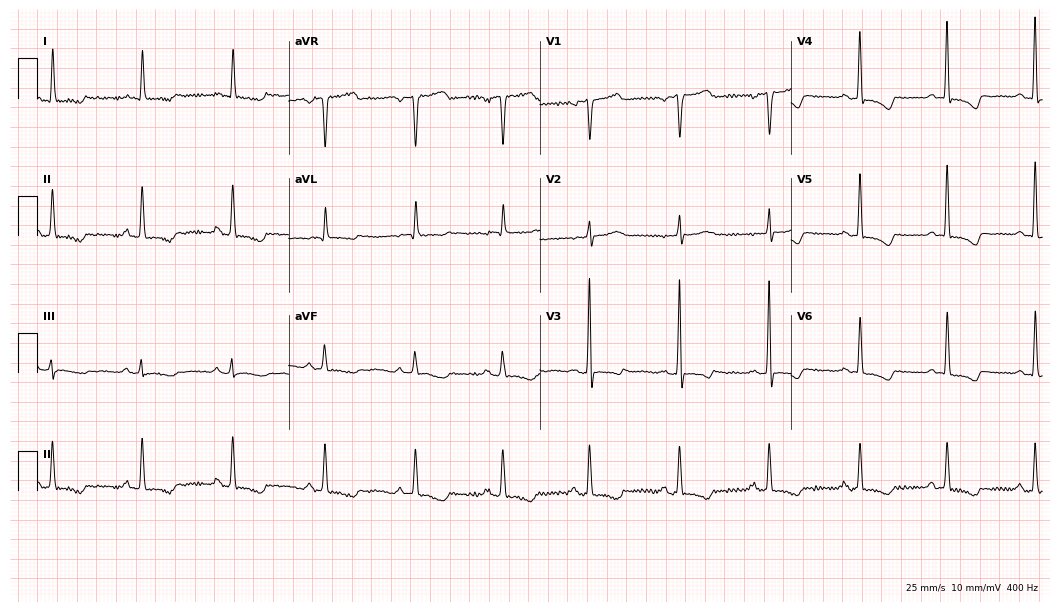
Electrocardiogram (10.2-second recording at 400 Hz), a 69-year-old woman. Of the six screened findings (first-degree AV block, right bundle branch block (RBBB), left bundle branch block (LBBB), sinus bradycardia, atrial fibrillation (AF), sinus tachycardia), none is recorded. Findings outside these six are not listed.